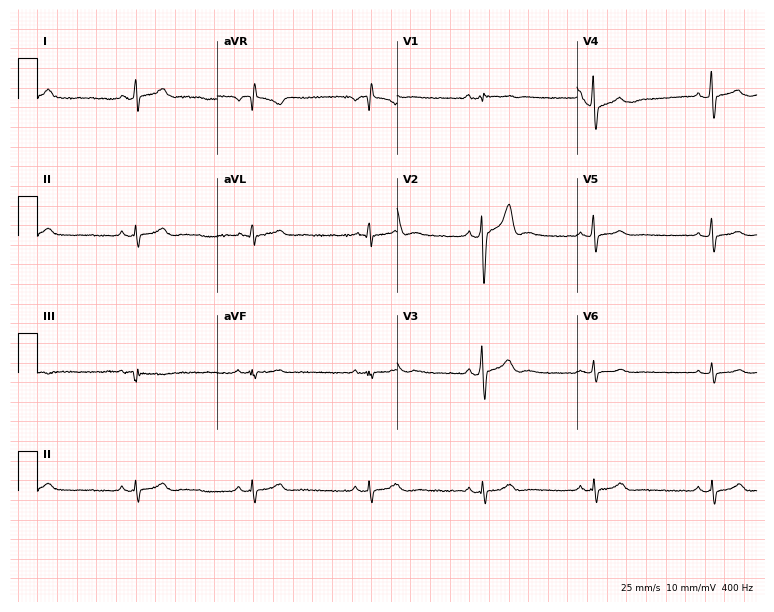
Standard 12-lead ECG recorded from a 35-year-old man. Read as a normal ECG.